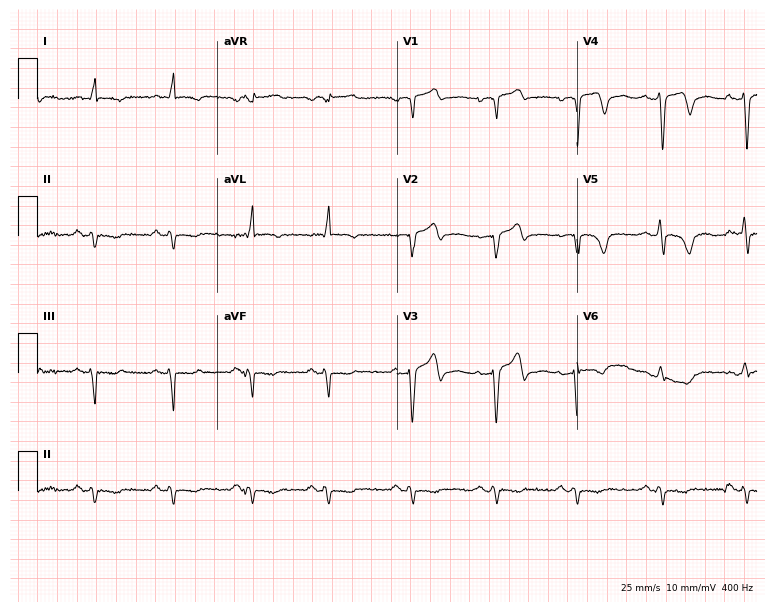
ECG — a male, 72 years old. Screened for six findings — first-degree AV block, right bundle branch block, left bundle branch block, sinus bradycardia, atrial fibrillation, sinus tachycardia — none is recorded.